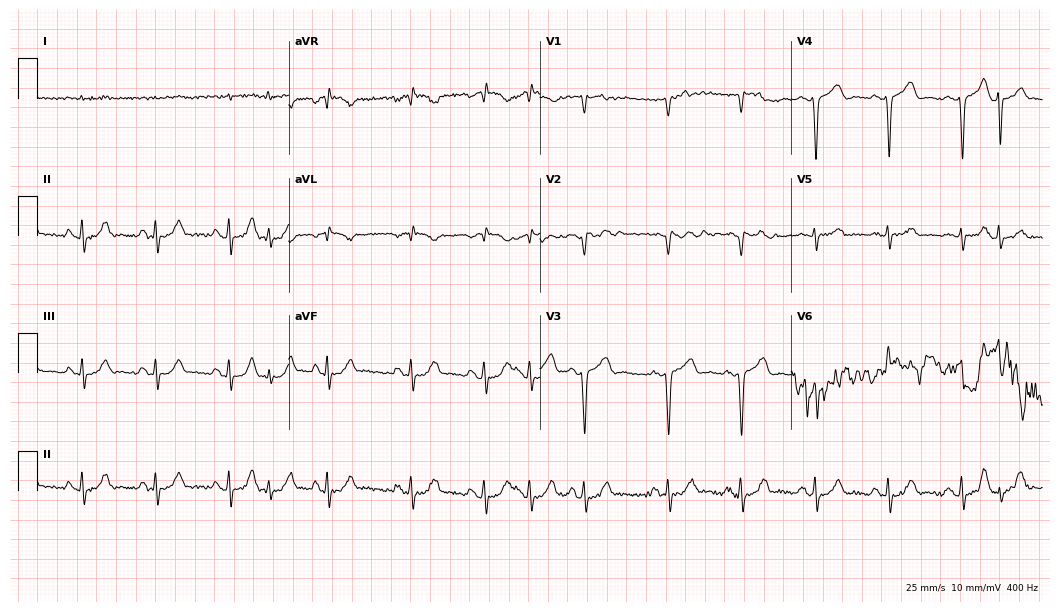
12-lead ECG from a 59-year-old man. Screened for six findings — first-degree AV block, right bundle branch block, left bundle branch block, sinus bradycardia, atrial fibrillation, sinus tachycardia — none is recorded.